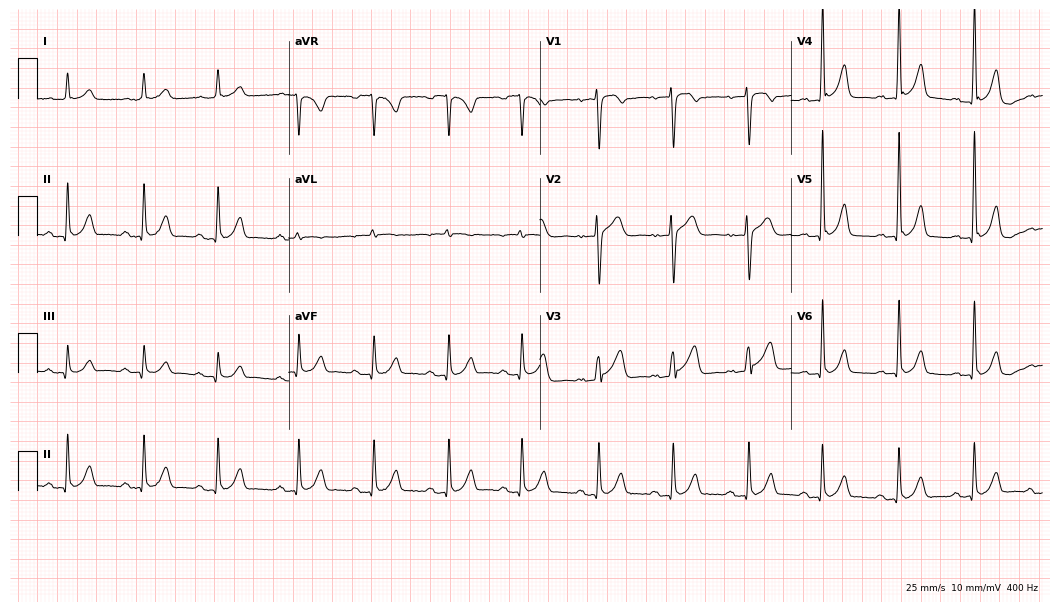
12-lead ECG from a male patient, 73 years old. Screened for six findings — first-degree AV block, right bundle branch block, left bundle branch block, sinus bradycardia, atrial fibrillation, sinus tachycardia — none is recorded. Findings outside these six are not listed.